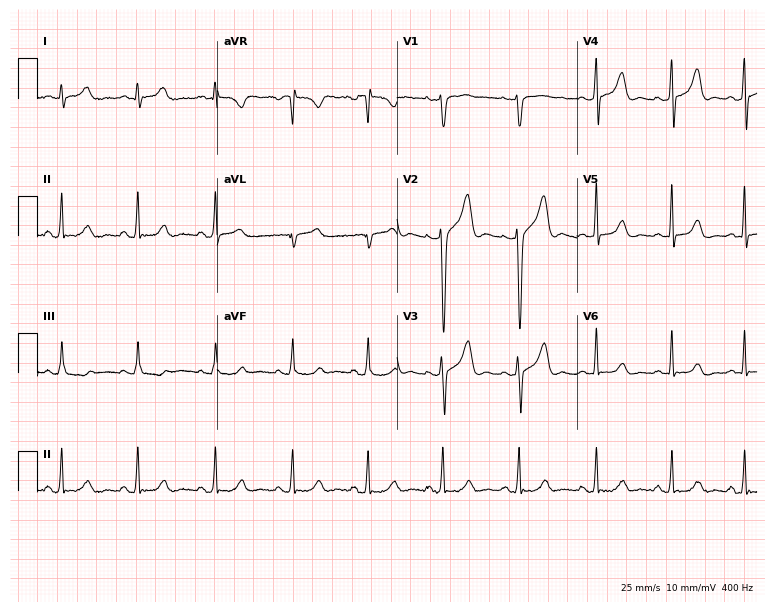
Electrocardiogram (7.3-second recording at 400 Hz), a male, 29 years old. Of the six screened findings (first-degree AV block, right bundle branch block (RBBB), left bundle branch block (LBBB), sinus bradycardia, atrial fibrillation (AF), sinus tachycardia), none is recorded.